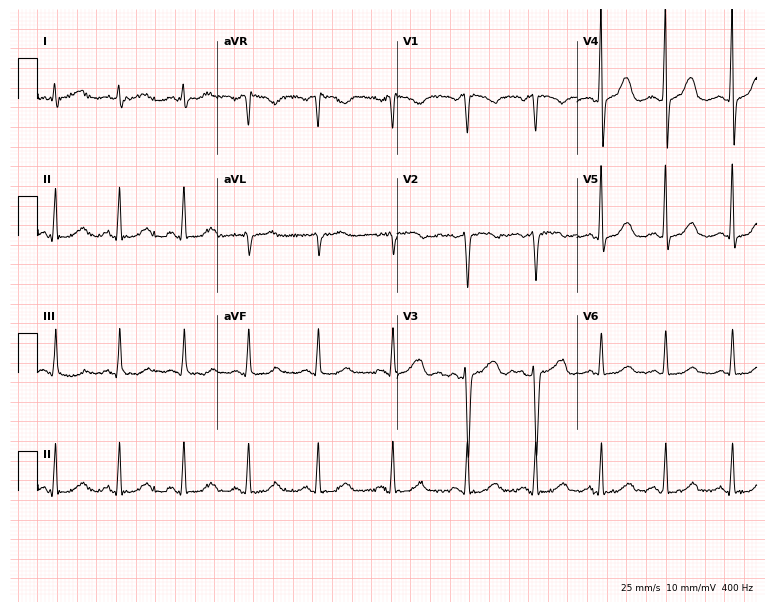
Standard 12-lead ECG recorded from a female, 50 years old. Read as a normal ECG.